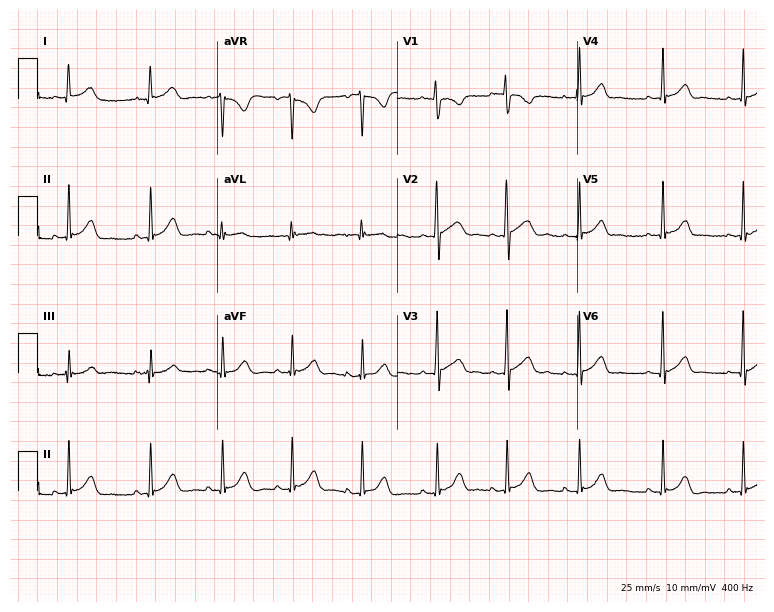
12-lead ECG from a woman, 18 years old. Recorded interpretation: within normal limits.